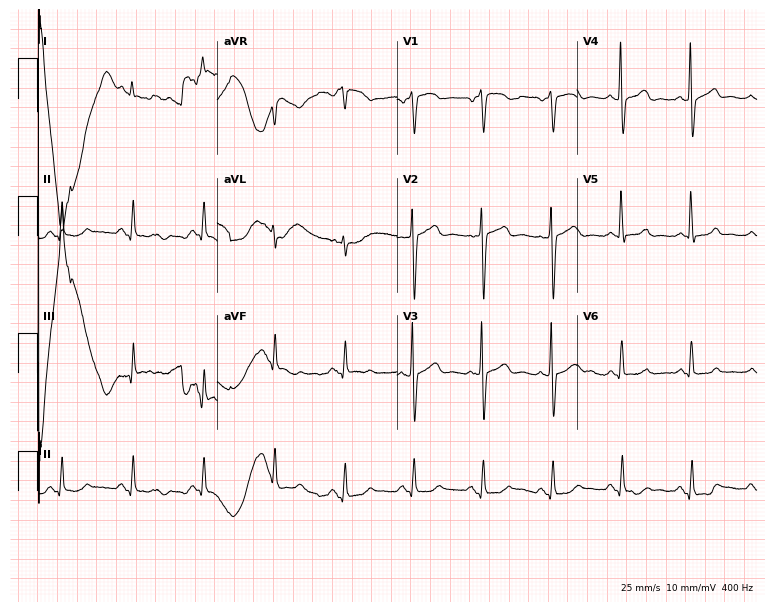
12-lead ECG from a male, 73 years old. Recorded interpretation: within normal limits.